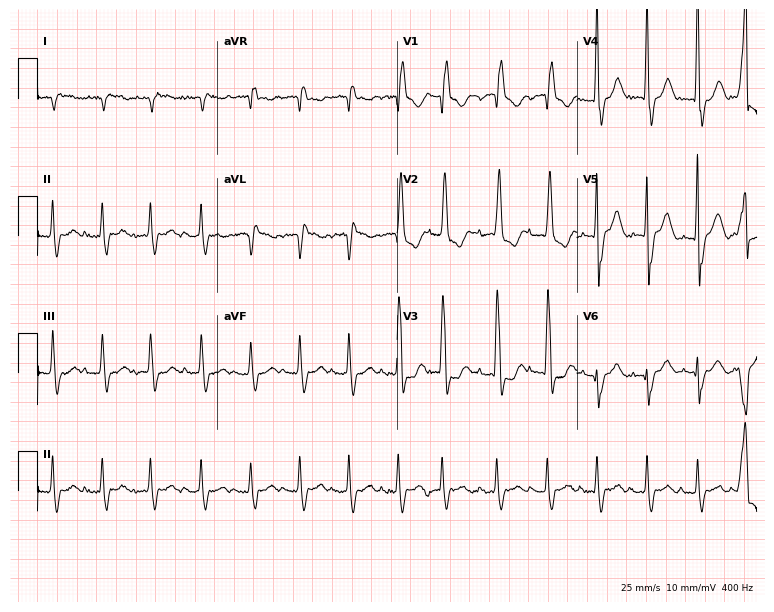
ECG — an 85-year-old female. Screened for six findings — first-degree AV block, right bundle branch block, left bundle branch block, sinus bradycardia, atrial fibrillation, sinus tachycardia — none is recorded.